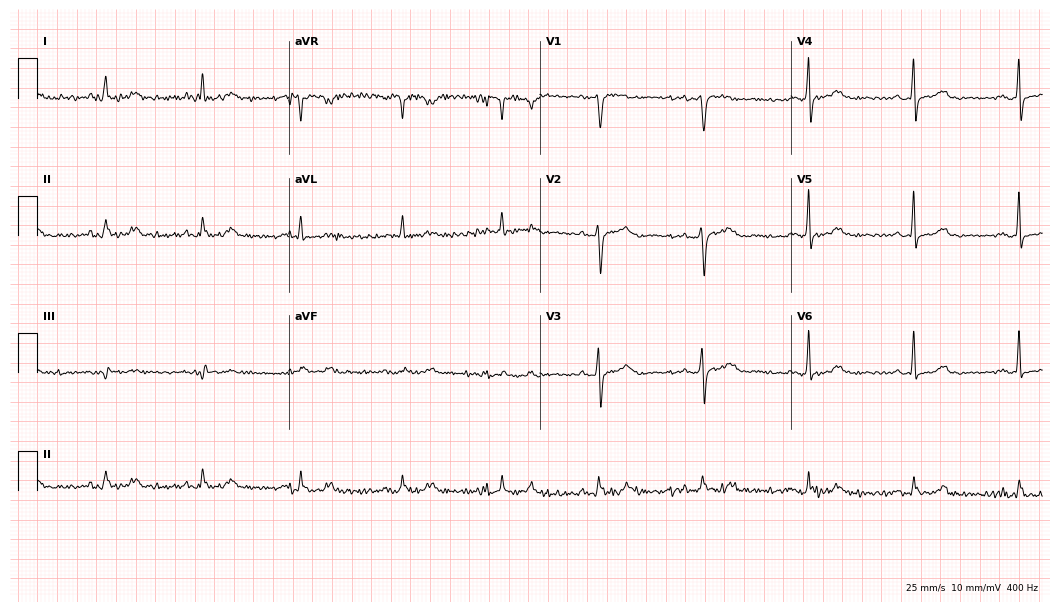
Standard 12-lead ECG recorded from a woman, 49 years old (10.2-second recording at 400 Hz). None of these six findings is recorded: first-degree AV block, right bundle branch block (RBBB), left bundle branch block (LBBB), sinus bradycardia, atrial fibrillation (AF), sinus tachycardia. Other findings, if any, are not listed.